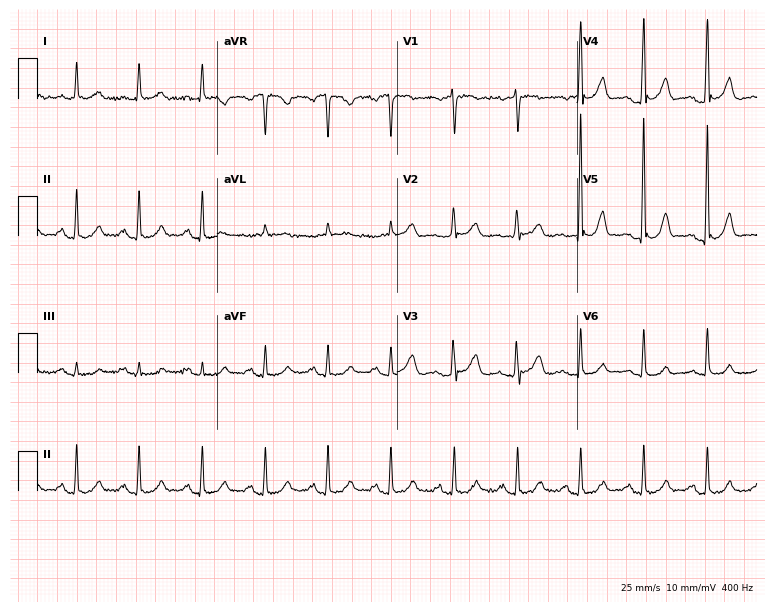
12-lead ECG from a female, 76 years old. Screened for six findings — first-degree AV block, right bundle branch block, left bundle branch block, sinus bradycardia, atrial fibrillation, sinus tachycardia — none is recorded.